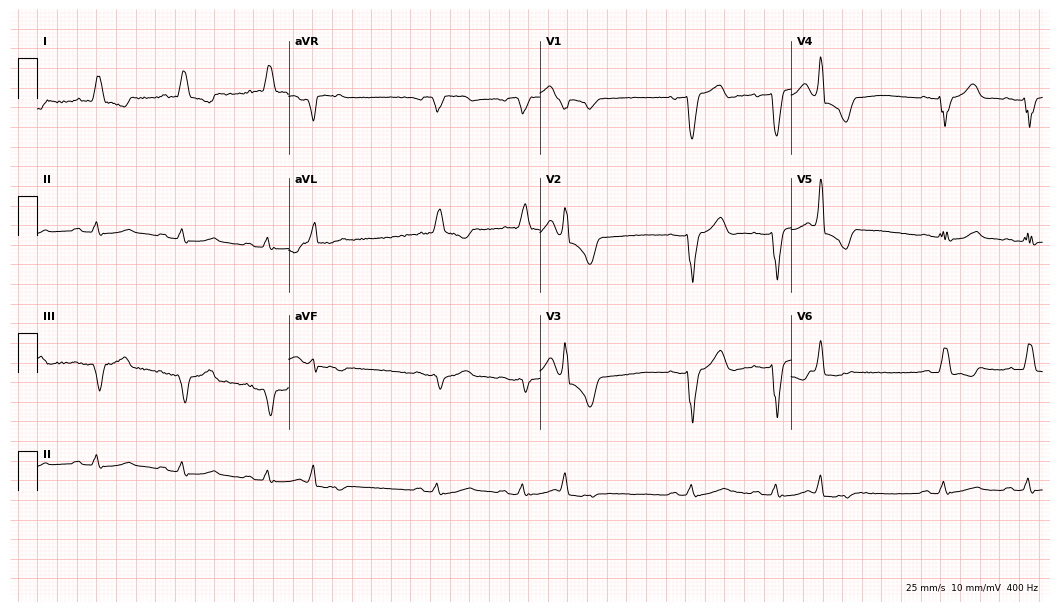
Electrocardiogram (10.2-second recording at 400 Hz), a man, 84 years old. Interpretation includes atrial fibrillation.